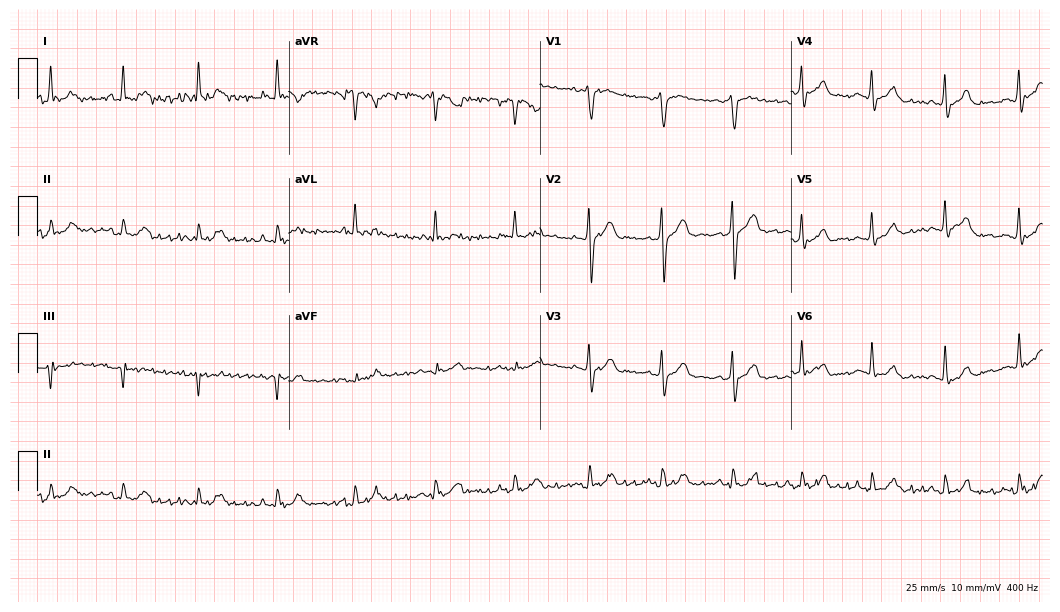
Resting 12-lead electrocardiogram. Patient: a male, 40 years old. Read as a normal ECG.